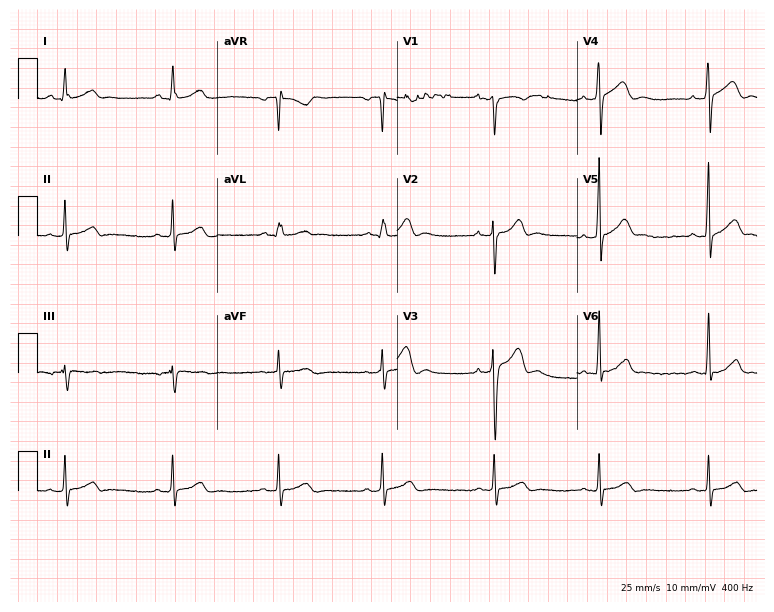
Resting 12-lead electrocardiogram (7.3-second recording at 400 Hz). Patient: a 28-year-old man. None of these six findings is recorded: first-degree AV block, right bundle branch block, left bundle branch block, sinus bradycardia, atrial fibrillation, sinus tachycardia. Findings outside these six are not listed.